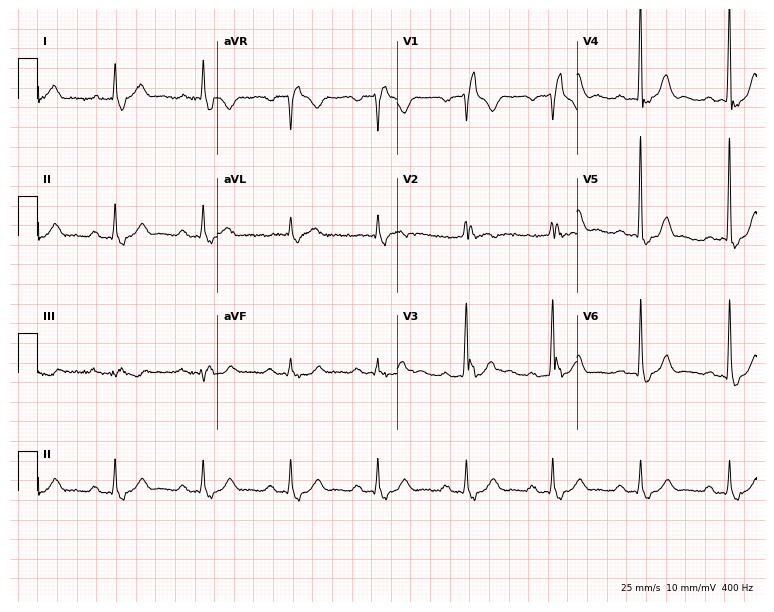
Standard 12-lead ECG recorded from a man, 61 years old. The tracing shows first-degree AV block, right bundle branch block.